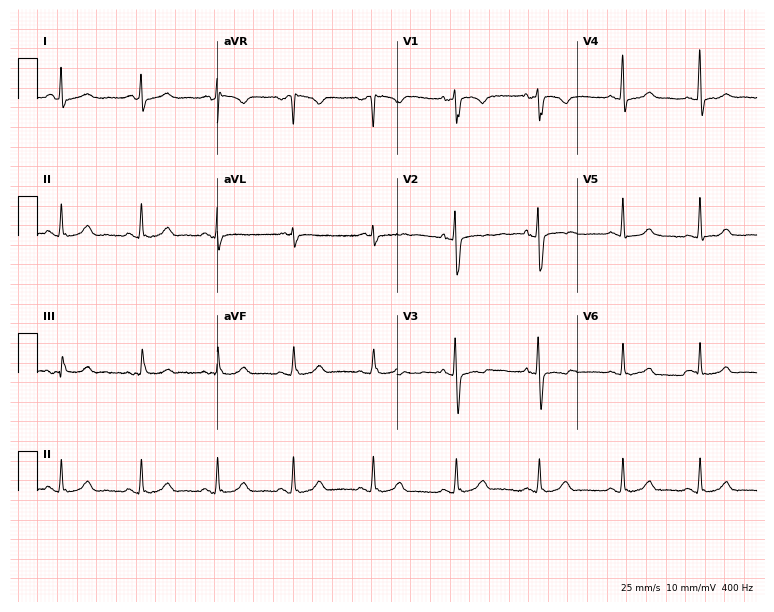
12-lead ECG from a 35-year-old woman. Screened for six findings — first-degree AV block, right bundle branch block (RBBB), left bundle branch block (LBBB), sinus bradycardia, atrial fibrillation (AF), sinus tachycardia — none is recorded. Findings outside these six are not listed.